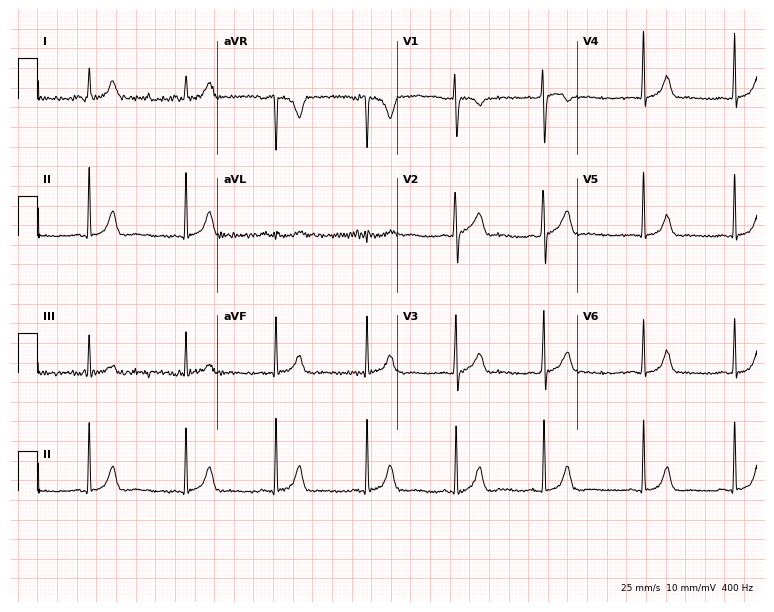
Electrocardiogram (7.3-second recording at 400 Hz), a female patient, 24 years old. Overall reading on record: normal ECG.